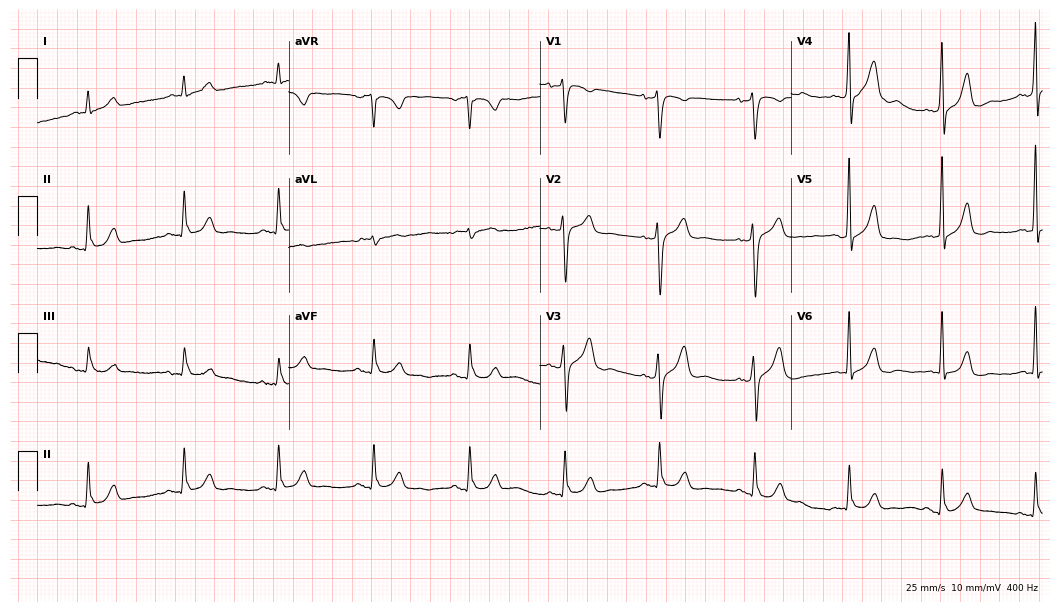
Electrocardiogram (10.2-second recording at 400 Hz), a 50-year-old male. Of the six screened findings (first-degree AV block, right bundle branch block (RBBB), left bundle branch block (LBBB), sinus bradycardia, atrial fibrillation (AF), sinus tachycardia), none is recorded. Other findings, if any, are not listed.